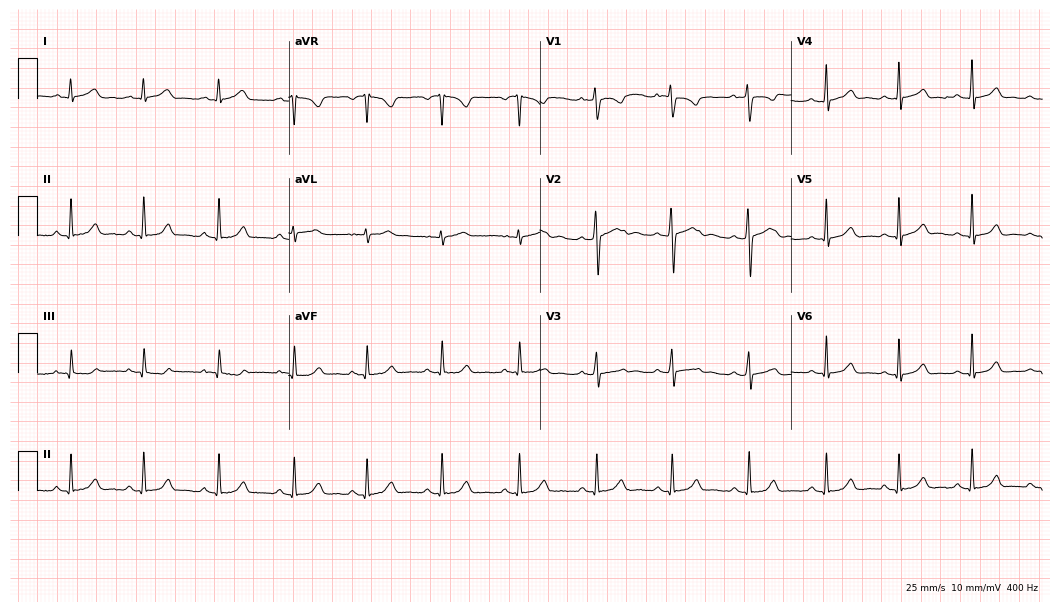
ECG — a female patient, 29 years old. Labelled as a normal ECG.